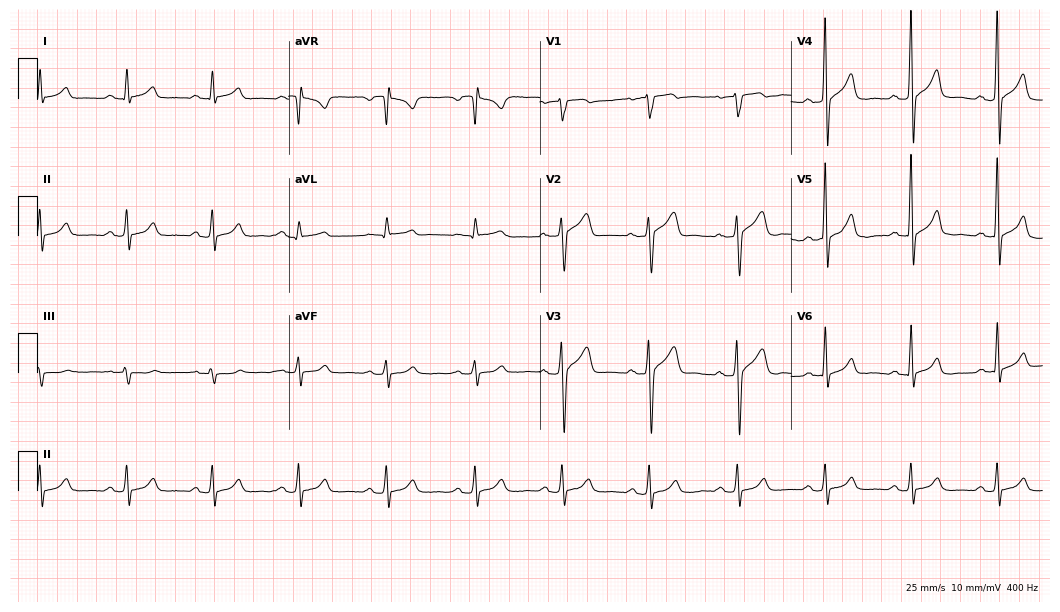
ECG — a male, 59 years old. Labelled as a normal ECG.